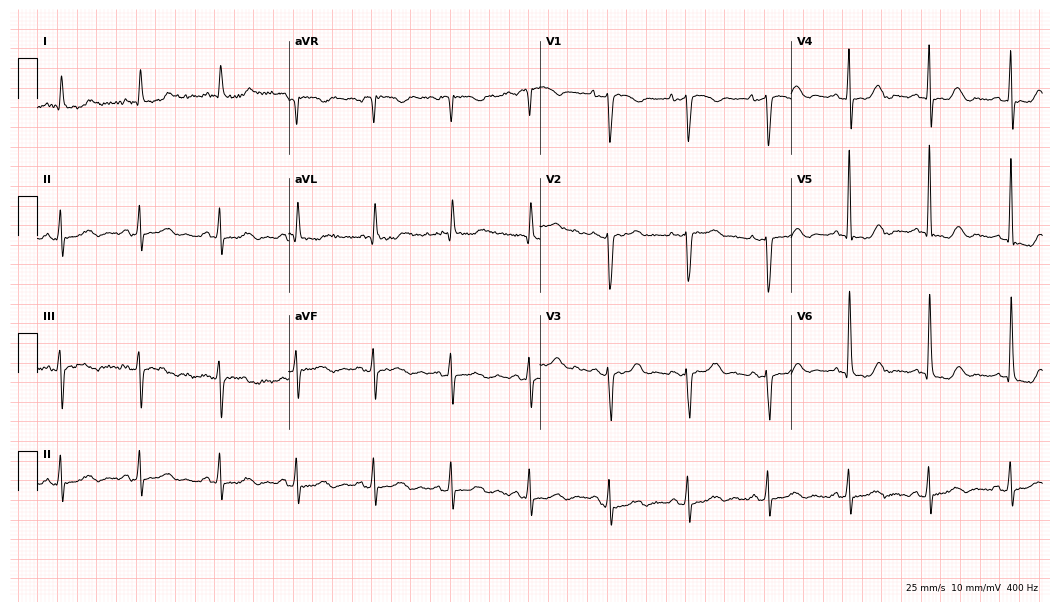
12-lead ECG from a woman, 73 years old. No first-degree AV block, right bundle branch block (RBBB), left bundle branch block (LBBB), sinus bradycardia, atrial fibrillation (AF) or sinus tachycardia recorded for this tracing. Findings outside these six are not listed.